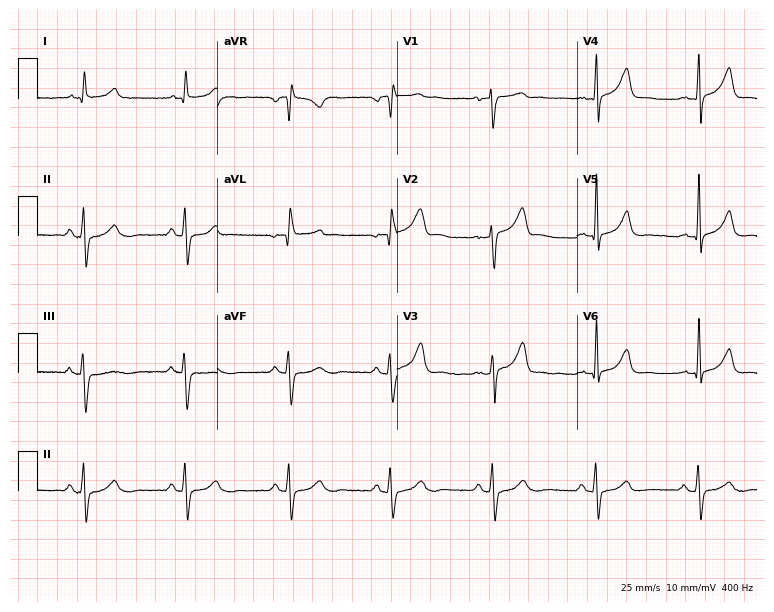
12-lead ECG from a male patient, 48 years old. Labelled as a normal ECG.